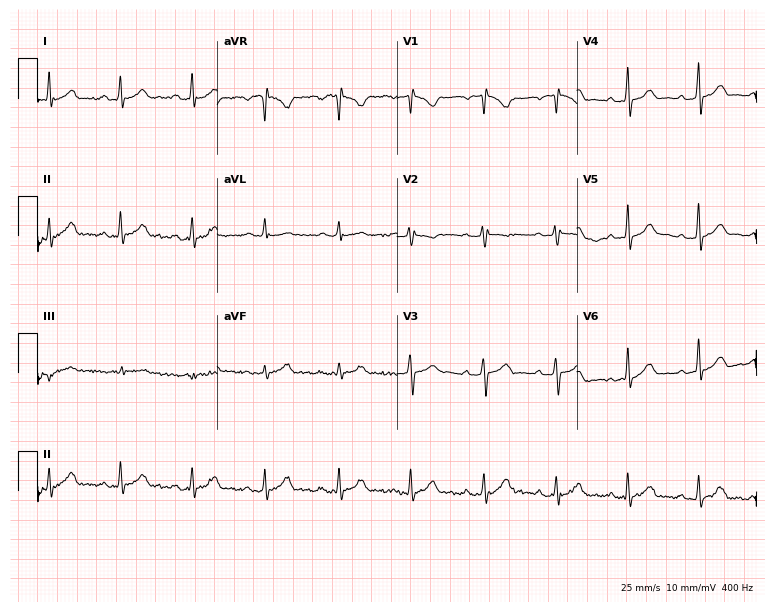
Standard 12-lead ECG recorded from a 62-year-old male patient (7.3-second recording at 400 Hz). None of these six findings is recorded: first-degree AV block, right bundle branch block (RBBB), left bundle branch block (LBBB), sinus bradycardia, atrial fibrillation (AF), sinus tachycardia. Other findings, if any, are not listed.